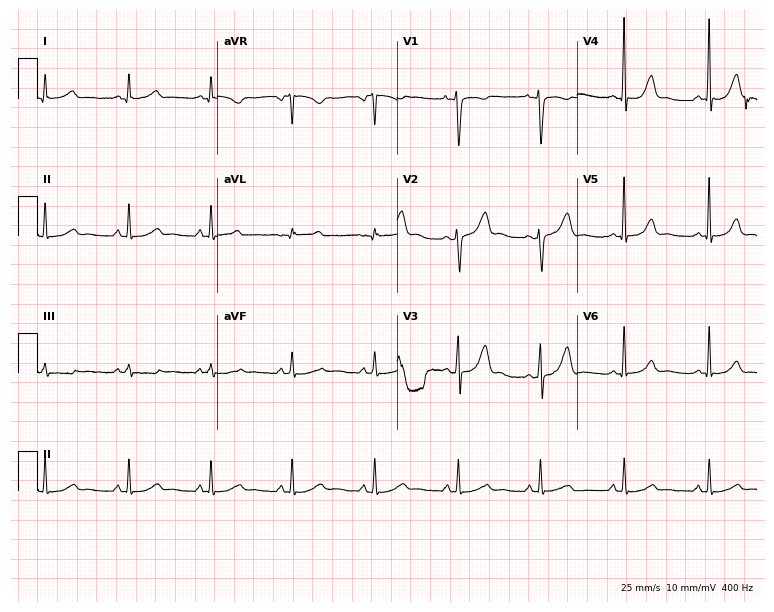
Electrocardiogram, a female, 36 years old. Of the six screened findings (first-degree AV block, right bundle branch block (RBBB), left bundle branch block (LBBB), sinus bradycardia, atrial fibrillation (AF), sinus tachycardia), none is recorded.